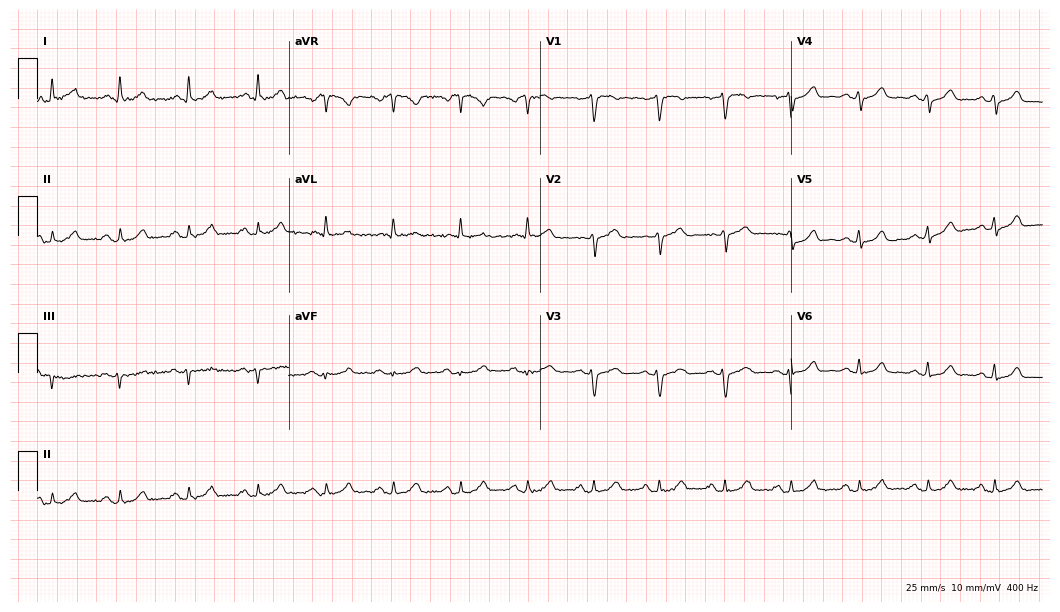
ECG — a female patient, 52 years old. Screened for six findings — first-degree AV block, right bundle branch block, left bundle branch block, sinus bradycardia, atrial fibrillation, sinus tachycardia — none is recorded. Findings outside these six are not listed.